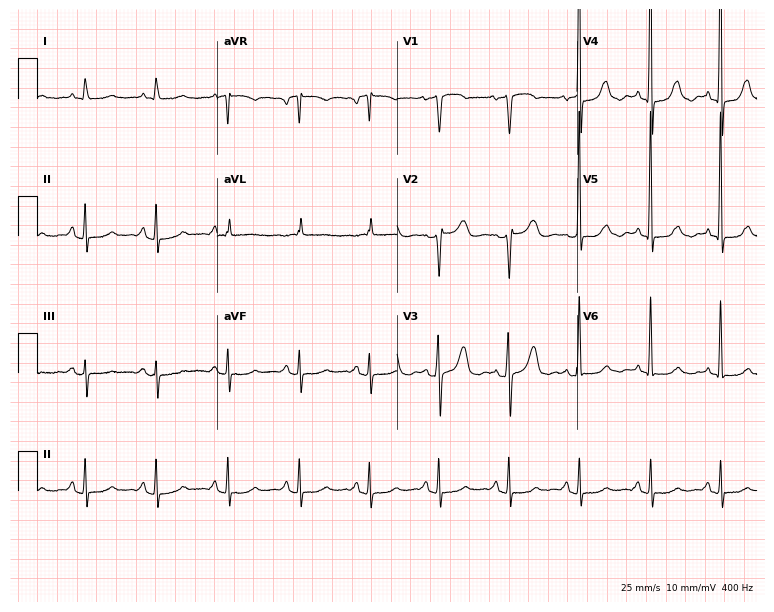
Resting 12-lead electrocardiogram. Patient: a 68-year-old female. None of these six findings is recorded: first-degree AV block, right bundle branch block, left bundle branch block, sinus bradycardia, atrial fibrillation, sinus tachycardia. Only these six findings were labelled.